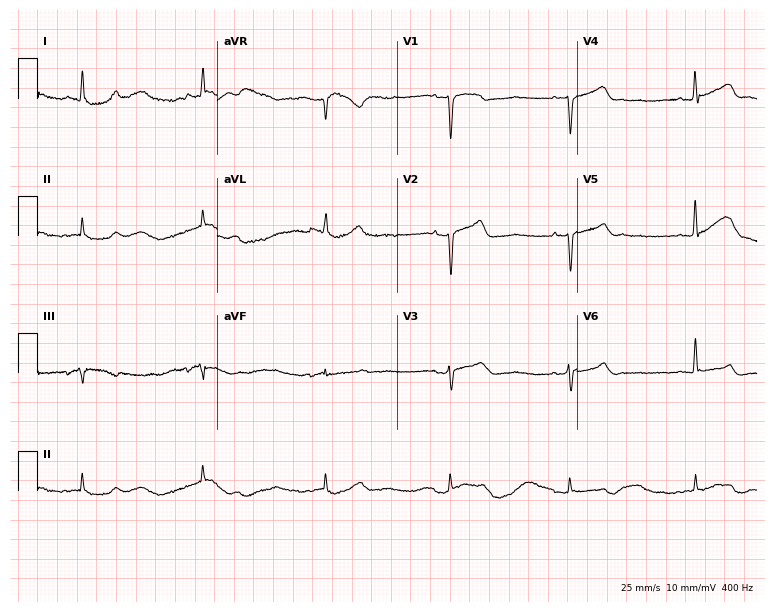
ECG — a man, 36 years old. Findings include sinus bradycardia (a sinus rate of 50 beats per minute or less).